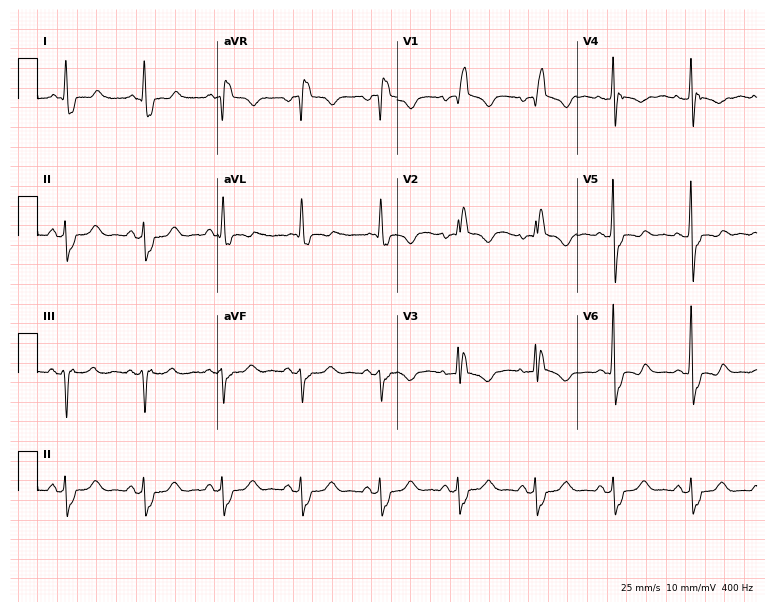
Electrocardiogram, a 72-year-old female. Of the six screened findings (first-degree AV block, right bundle branch block, left bundle branch block, sinus bradycardia, atrial fibrillation, sinus tachycardia), none is recorded. Only these six findings were labelled.